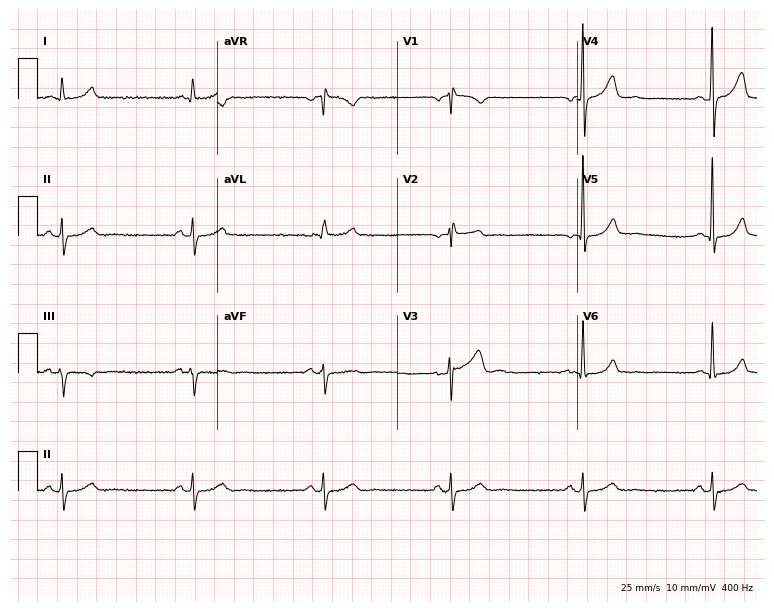
12-lead ECG from a male, 59 years old. No first-degree AV block, right bundle branch block, left bundle branch block, sinus bradycardia, atrial fibrillation or sinus tachycardia recorded for this tracing.